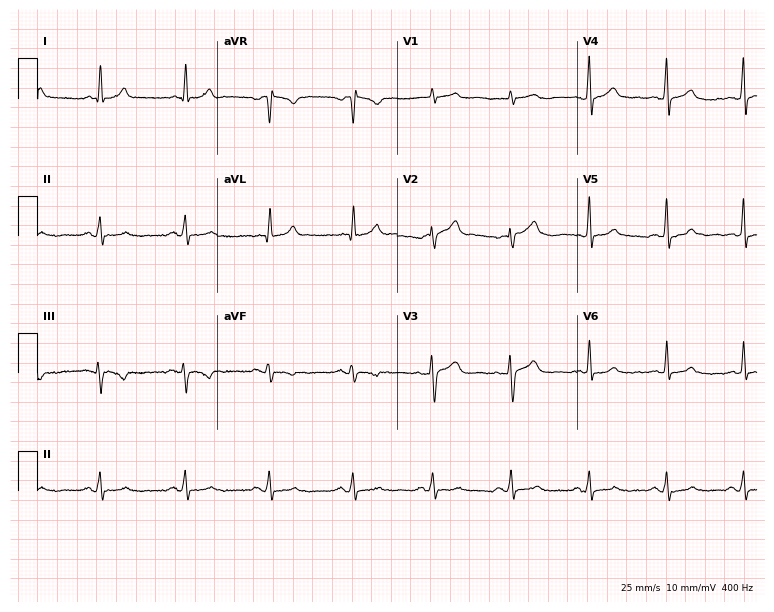
Standard 12-lead ECG recorded from a 50-year-old man. None of these six findings is recorded: first-degree AV block, right bundle branch block (RBBB), left bundle branch block (LBBB), sinus bradycardia, atrial fibrillation (AF), sinus tachycardia. Other findings, if any, are not listed.